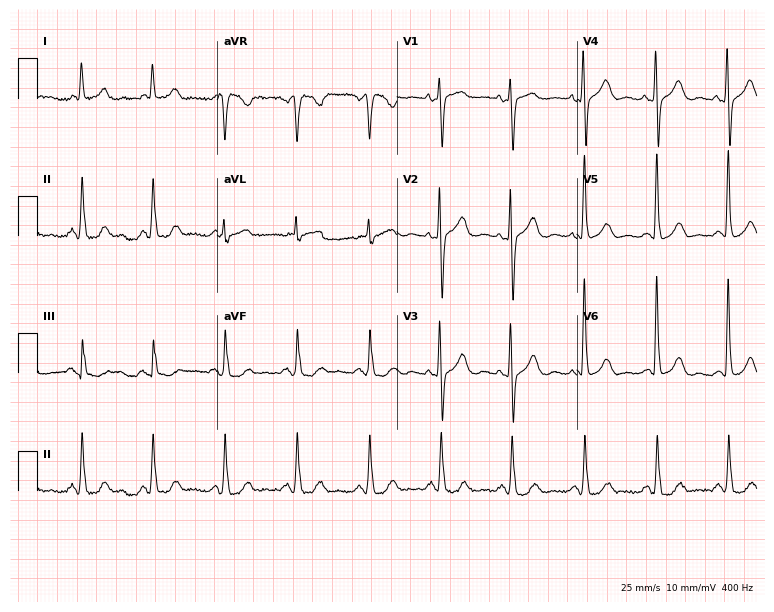
12-lead ECG (7.3-second recording at 400 Hz) from a 77-year-old woman. Labelled as a normal ECG.